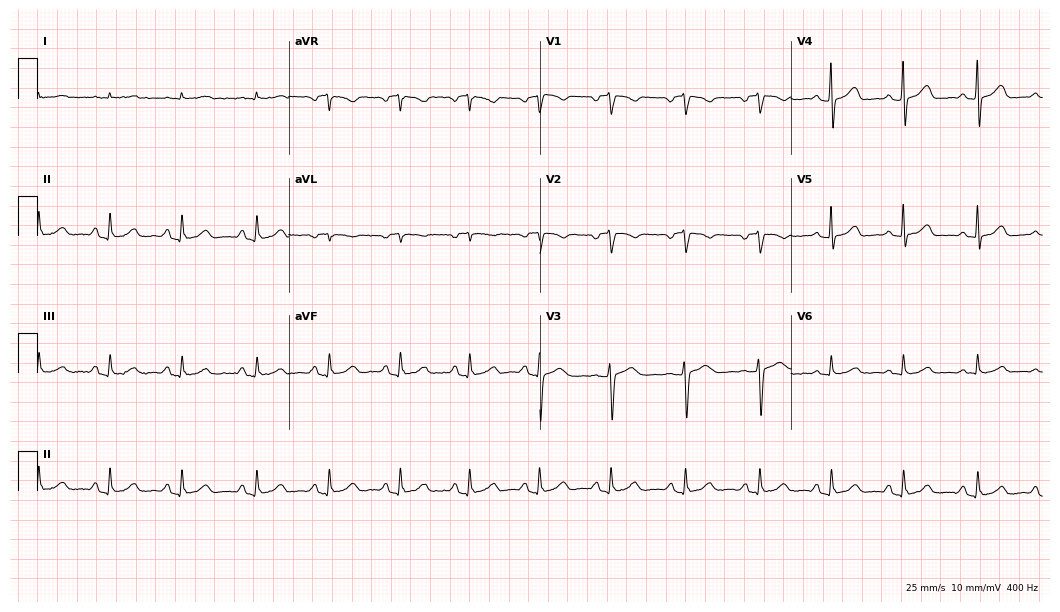
Resting 12-lead electrocardiogram (10.2-second recording at 400 Hz). Patient: a woman, 56 years old. Read as a normal ECG.